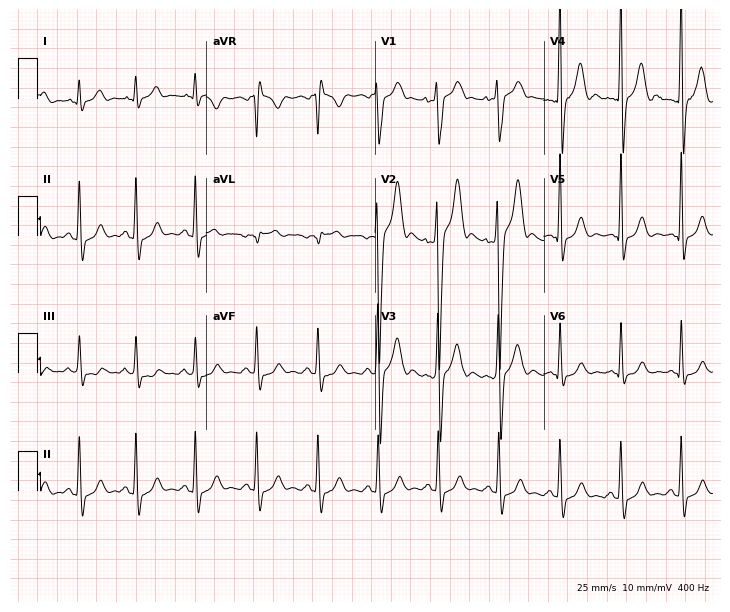
Resting 12-lead electrocardiogram. Patient: a male, 20 years old. None of these six findings is recorded: first-degree AV block, right bundle branch block, left bundle branch block, sinus bradycardia, atrial fibrillation, sinus tachycardia. Findings outside these six are not listed.